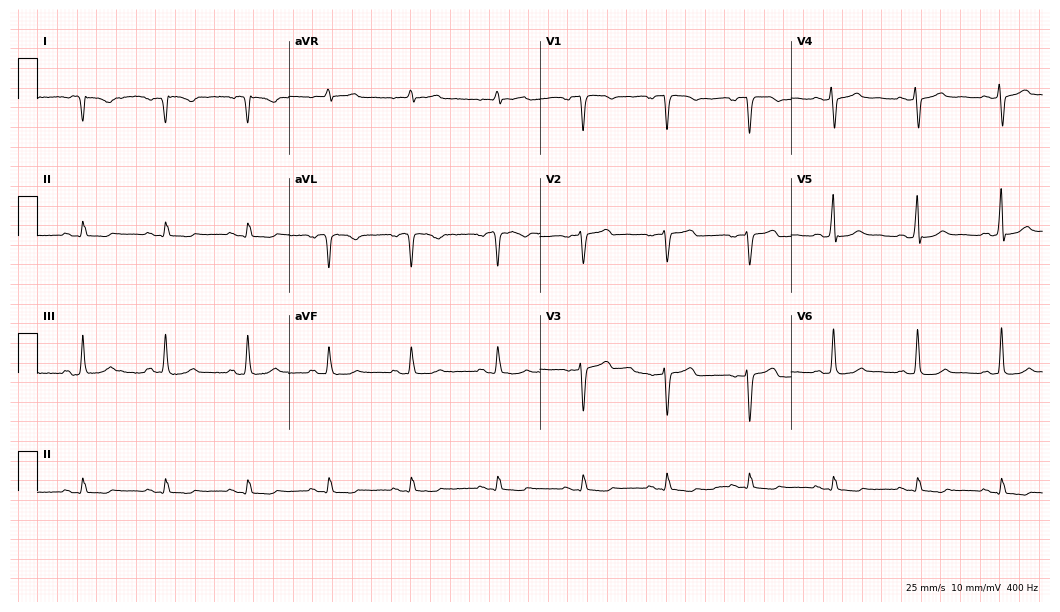
ECG — a female, 58 years old. Screened for six findings — first-degree AV block, right bundle branch block (RBBB), left bundle branch block (LBBB), sinus bradycardia, atrial fibrillation (AF), sinus tachycardia — none is recorded.